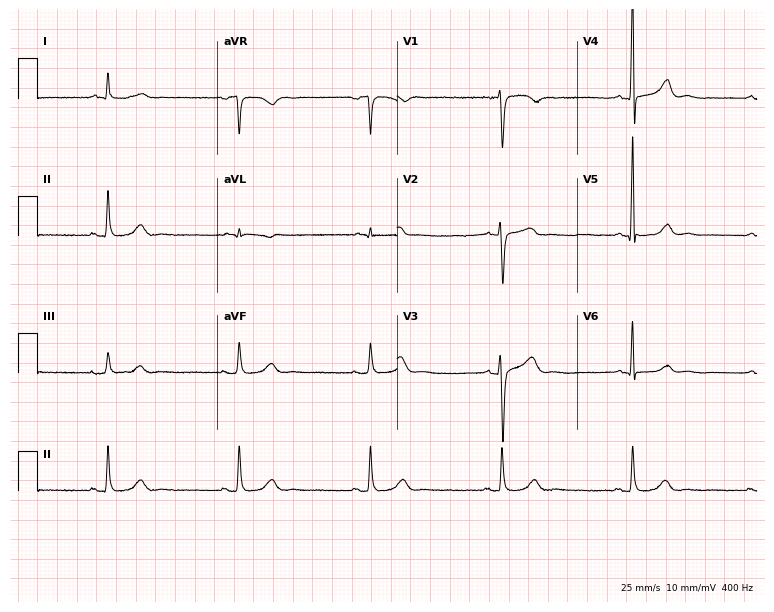
12-lead ECG (7.3-second recording at 400 Hz) from a man, 58 years old. Findings include sinus bradycardia (a sinus rate of 50 beats per minute or less).